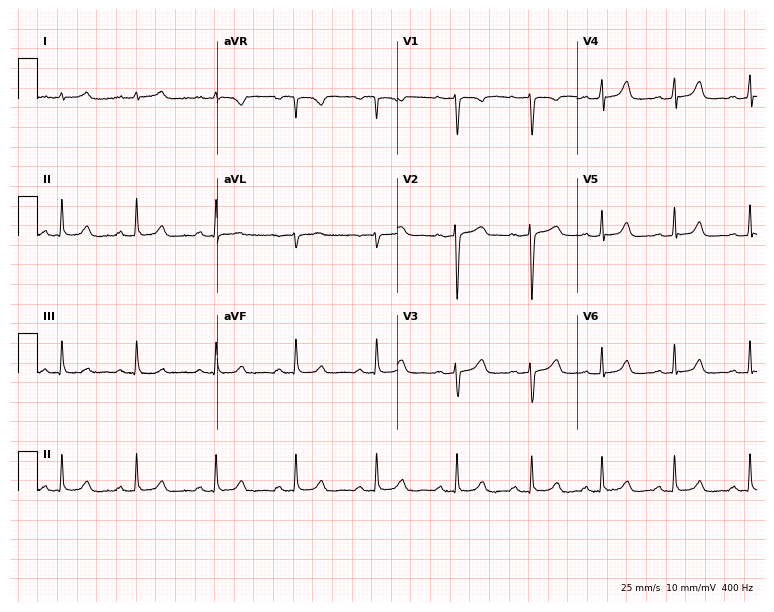
12-lead ECG from a 34-year-old female patient (7.3-second recording at 400 Hz). Recorded interpretation: within normal limits.